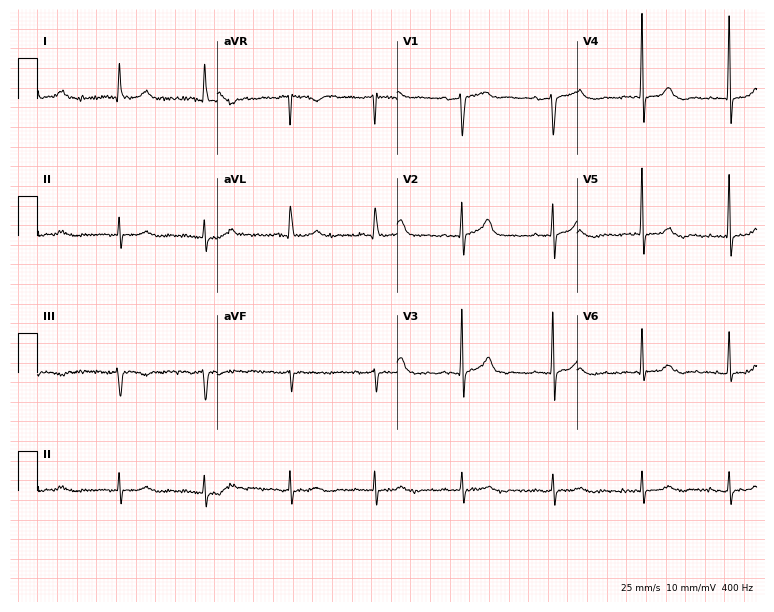
Standard 12-lead ECG recorded from a woman, 82 years old (7.3-second recording at 400 Hz). None of these six findings is recorded: first-degree AV block, right bundle branch block (RBBB), left bundle branch block (LBBB), sinus bradycardia, atrial fibrillation (AF), sinus tachycardia. Findings outside these six are not listed.